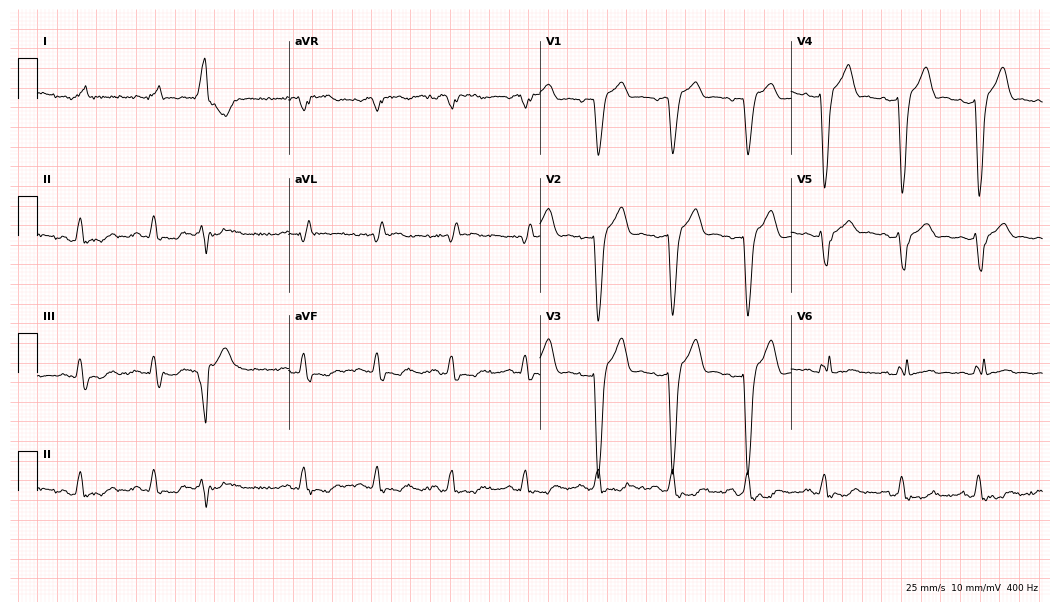
Resting 12-lead electrocardiogram. Patient: a 72-year-old male. The tracing shows left bundle branch block.